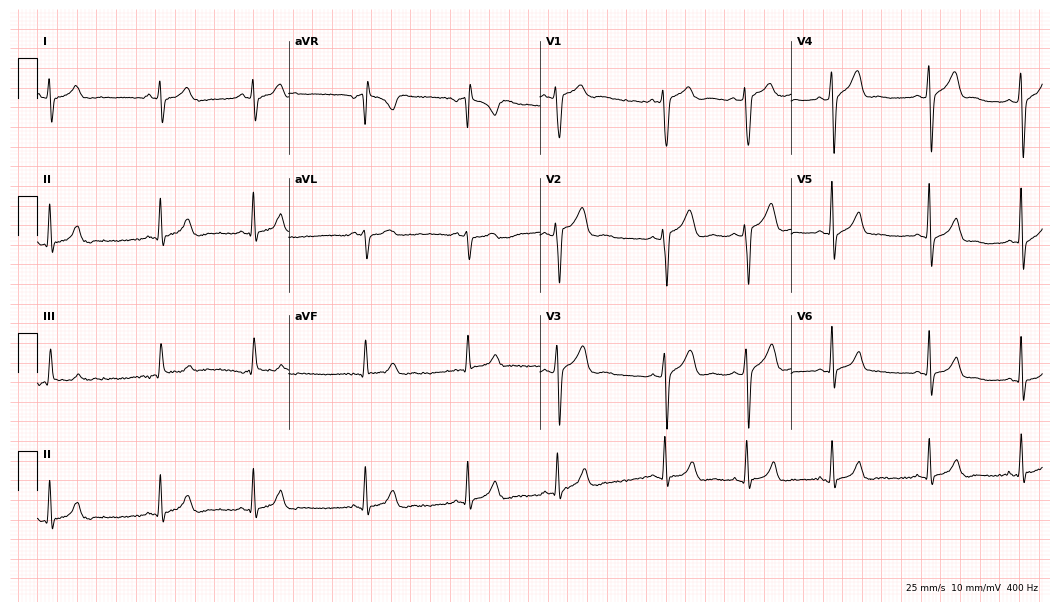
ECG — a 17-year-old man. Labelled as a normal ECG.